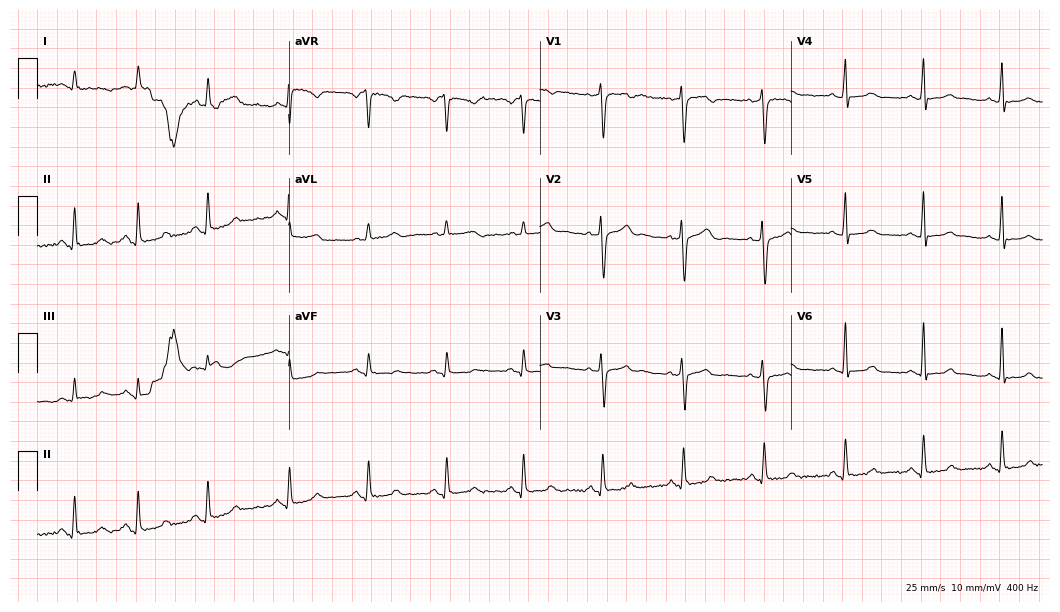
12-lead ECG from a 33-year-old woman. Labelled as a normal ECG.